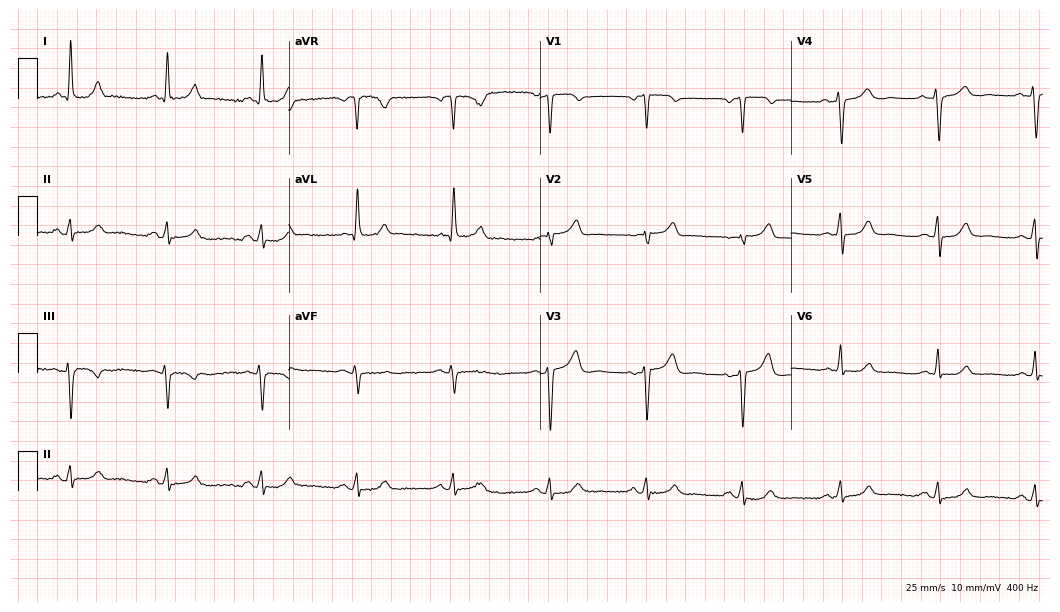
Standard 12-lead ECG recorded from a male patient, 67 years old. None of these six findings is recorded: first-degree AV block, right bundle branch block, left bundle branch block, sinus bradycardia, atrial fibrillation, sinus tachycardia.